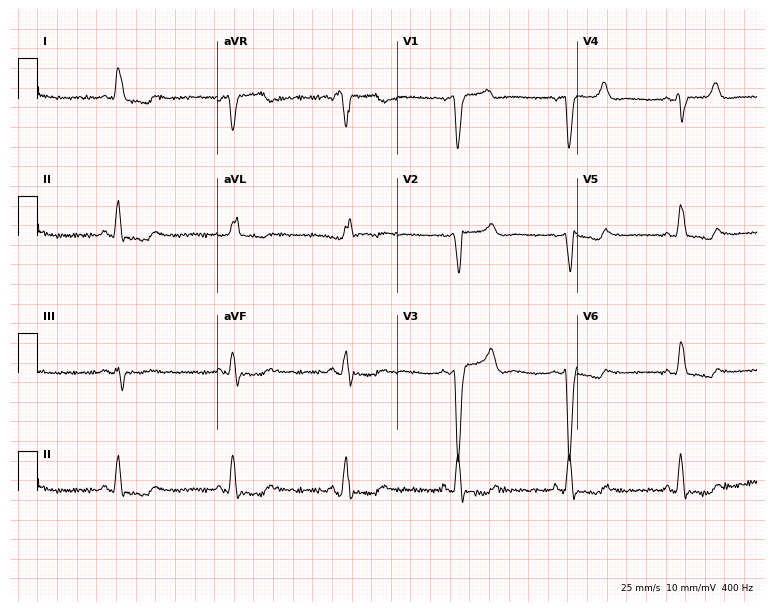
Resting 12-lead electrocardiogram (7.3-second recording at 400 Hz). Patient: a female, 71 years old. None of these six findings is recorded: first-degree AV block, right bundle branch block (RBBB), left bundle branch block (LBBB), sinus bradycardia, atrial fibrillation (AF), sinus tachycardia.